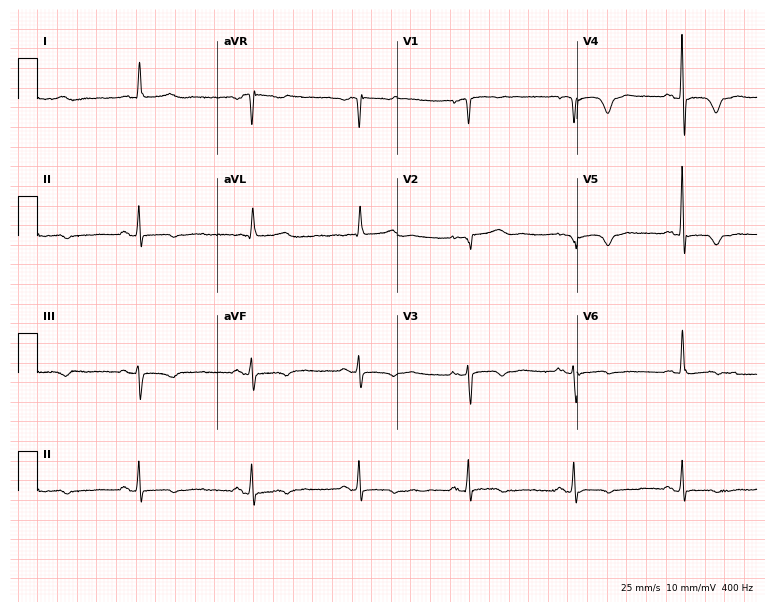
Standard 12-lead ECG recorded from a 75-year-old female patient. None of these six findings is recorded: first-degree AV block, right bundle branch block, left bundle branch block, sinus bradycardia, atrial fibrillation, sinus tachycardia.